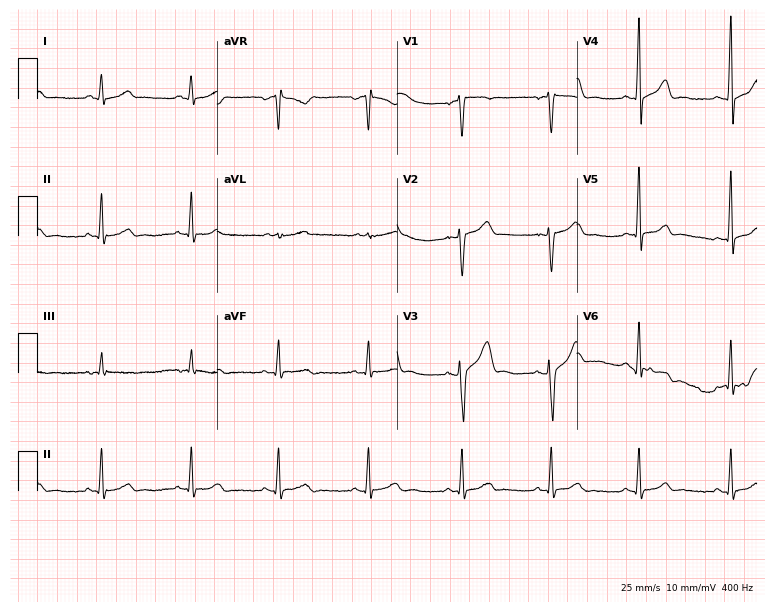
ECG — a 31-year-old male patient. Screened for six findings — first-degree AV block, right bundle branch block, left bundle branch block, sinus bradycardia, atrial fibrillation, sinus tachycardia — none is recorded.